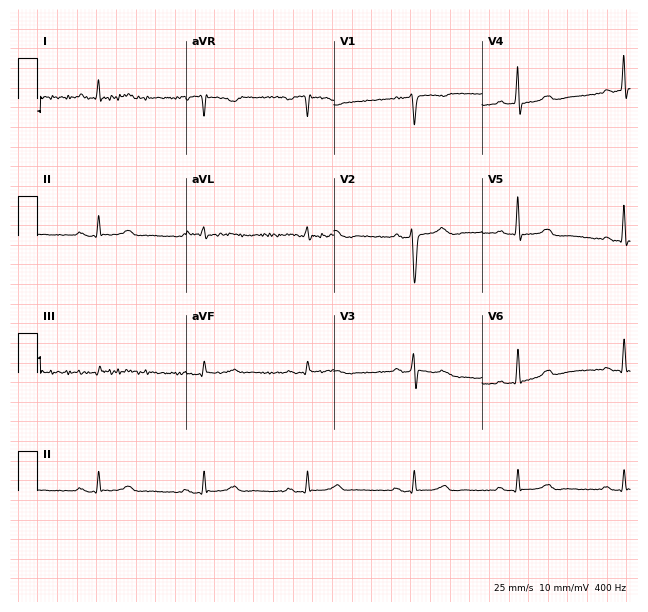
12-lead ECG from a 39-year-old female patient. No first-degree AV block, right bundle branch block (RBBB), left bundle branch block (LBBB), sinus bradycardia, atrial fibrillation (AF) or sinus tachycardia recorded for this tracing.